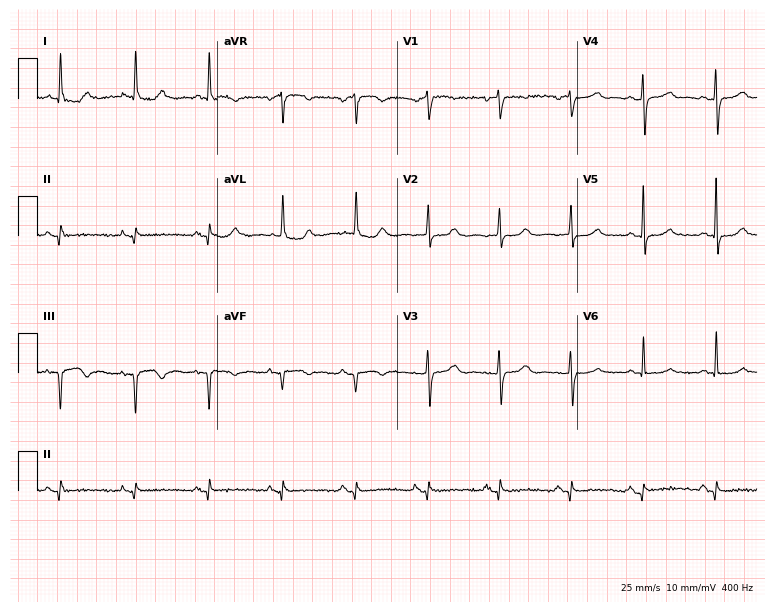
Standard 12-lead ECG recorded from a female patient, 84 years old. None of these six findings is recorded: first-degree AV block, right bundle branch block (RBBB), left bundle branch block (LBBB), sinus bradycardia, atrial fibrillation (AF), sinus tachycardia.